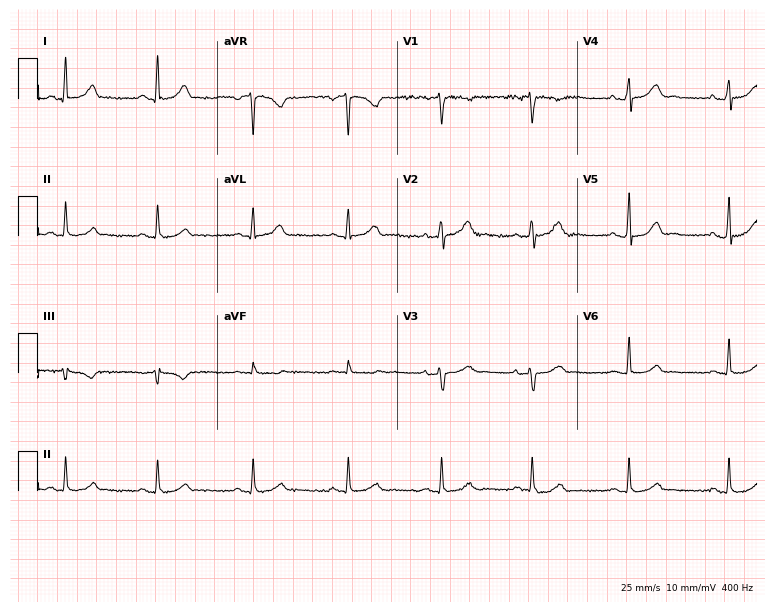
Resting 12-lead electrocardiogram (7.3-second recording at 400 Hz). Patient: a woman, 45 years old. Read as a normal ECG.